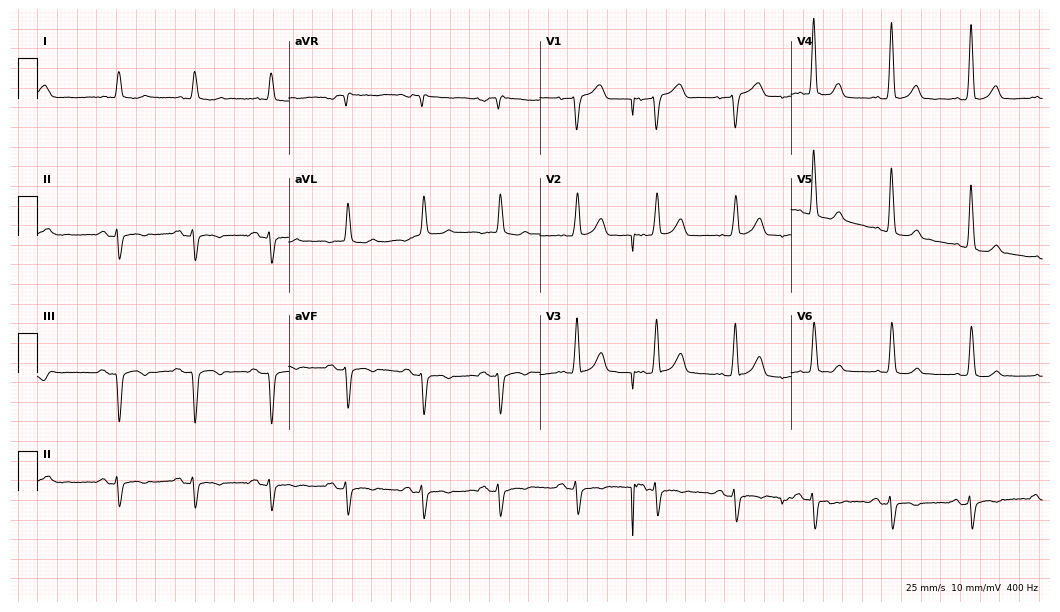
12-lead ECG from a man, 82 years old (10.2-second recording at 400 Hz). No first-degree AV block, right bundle branch block, left bundle branch block, sinus bradycardia, atrial fibrillation or sinus tachycardia recorded for this tracing. Only these six findings were labelled.